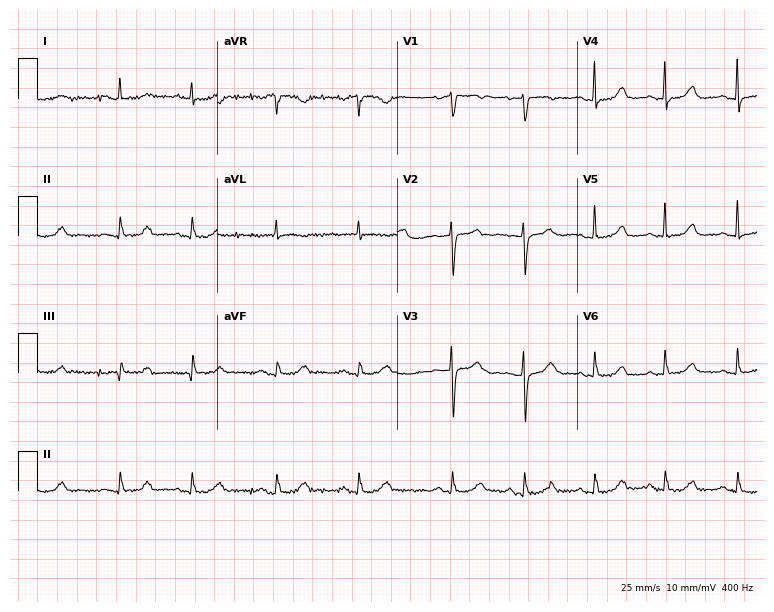
Standard 12-lead ECG recorded from a female, 73 years old. Read as a normal ECG.